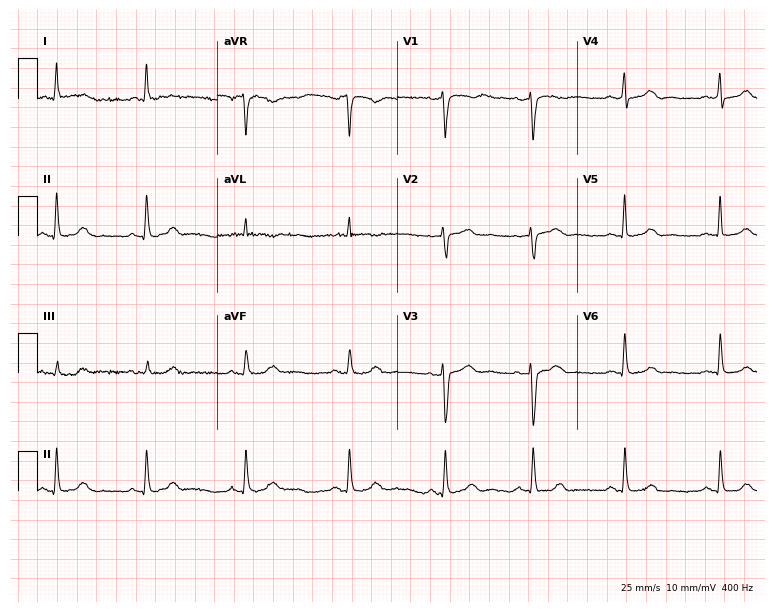
Standard 12-lead ECG recorded from a 66-year-old female (7.3-second recording at 400 Hz). None of these six findings is recorded: first-degree AV block, right bundle branch block (RBBB), left bundle branch block (LBBB), sinus bradycardia, atrial fibrillation (AF), sinus tachycardia. Only these six findings were labelled.